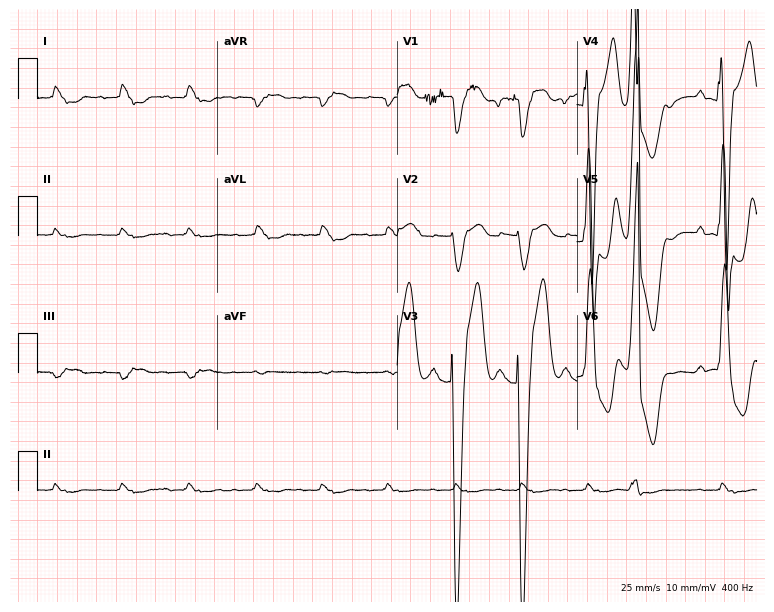
Resting 12-lead electrocardiogram. Patient: a man, 84 years old. None of these six findings is recorded: first-degree AV block, right bundle branch block, left bundle branch block, sinus bradycardia, atrial fibrillation, sinus tachycardia.